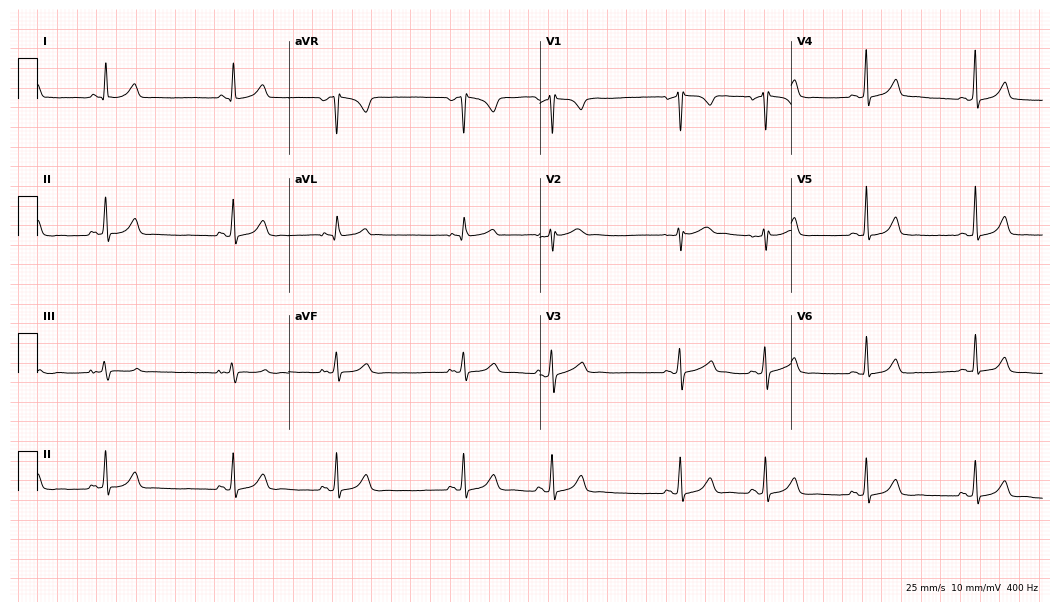
Electrocardiogram (10.2-second recording at 400 Hz), a 34-year-old female patient. Of the six screened findings (first-degree AV block, right bundle branch block (RBBB), left bundle branch block (LBBB), sinus bradycardia, atrial fibrillation (AF), sinus tachycardia), none is recorded.